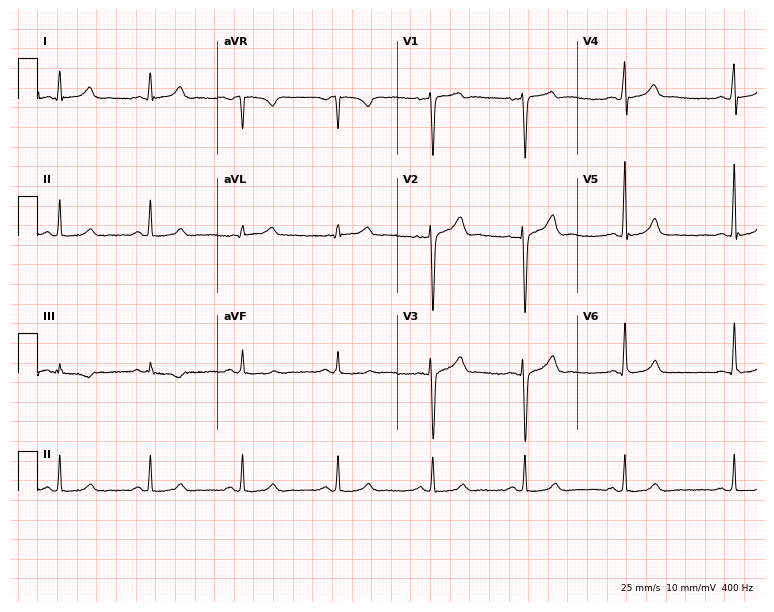
Resting 12-lead electrocardiogram. Patient: a male, 31 years old. Read as a normal ECG.